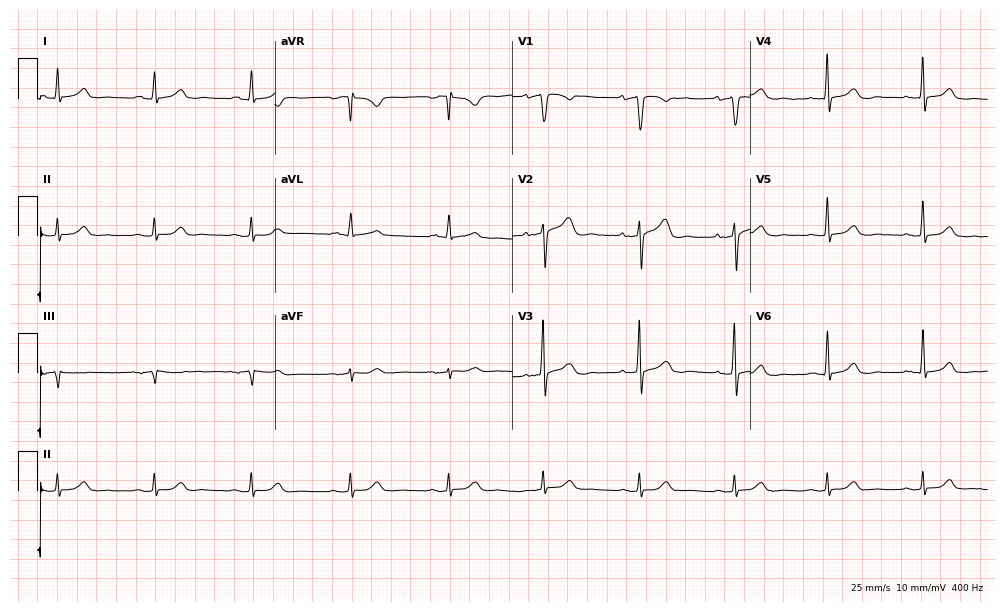
12-lead ECG from a 51-year-old male. Labelled as a normal ECG.